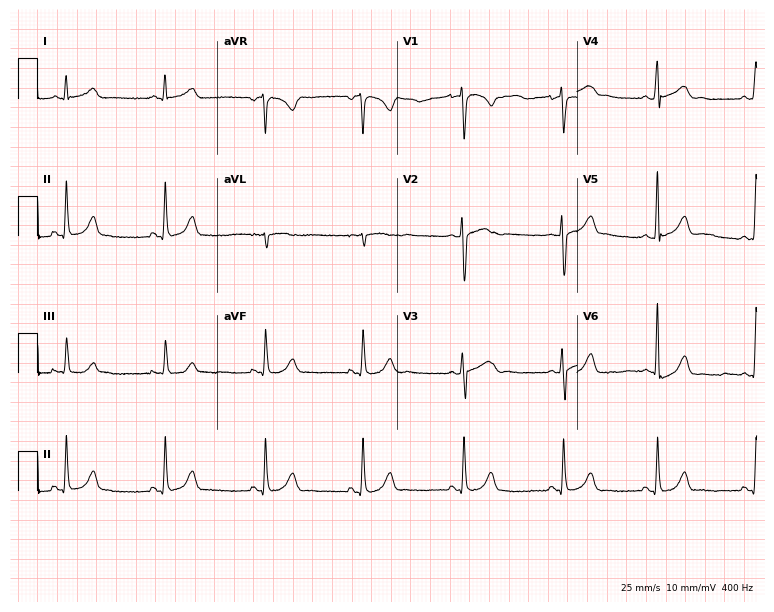
12-lead ECG from a female patient, 36 years old. Recorded interpretation: within normal limits.